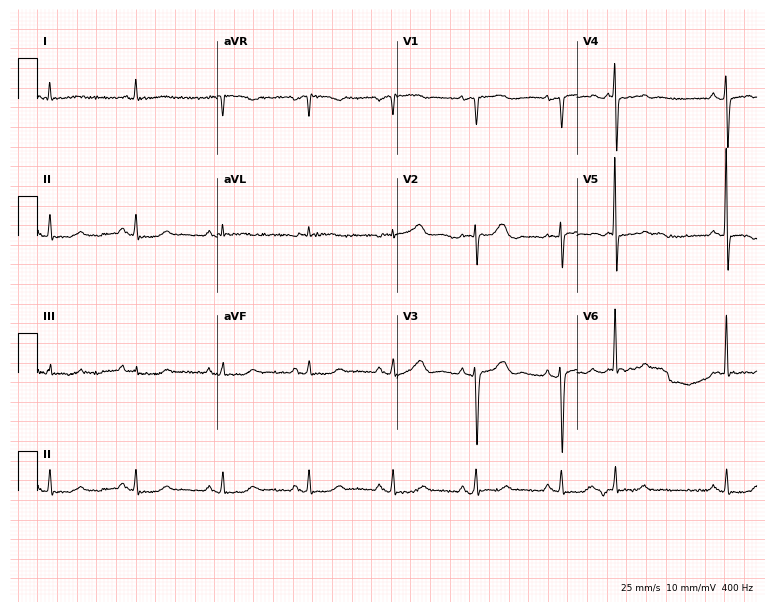
12-lead ECG (7.3-second recording at 400 Hz) from an 80-year-old female patient. Screened for six findings — first-degree AV block, right bundle branch block, left bundle branch block, sinus bradycardia, atrial fibrillation, sinus tachycardia — none is recorded.